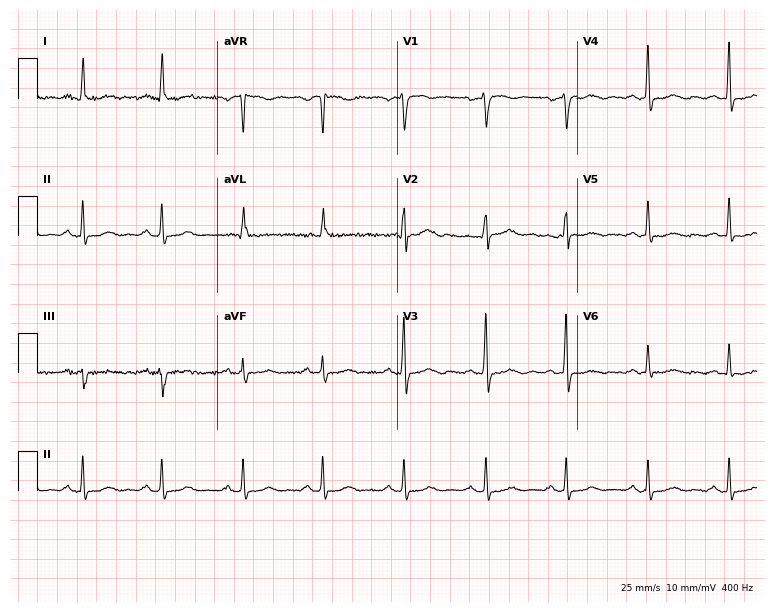
Standard 12-lead ECG recorded from a 56-year-old woman. None of these six findings is recorded: first-degree AV block, right bundle branch block, left bundle branch block, sinus bradycardia, atrial fibrillation, sinus tachycardia. Only these six findings were labelled.